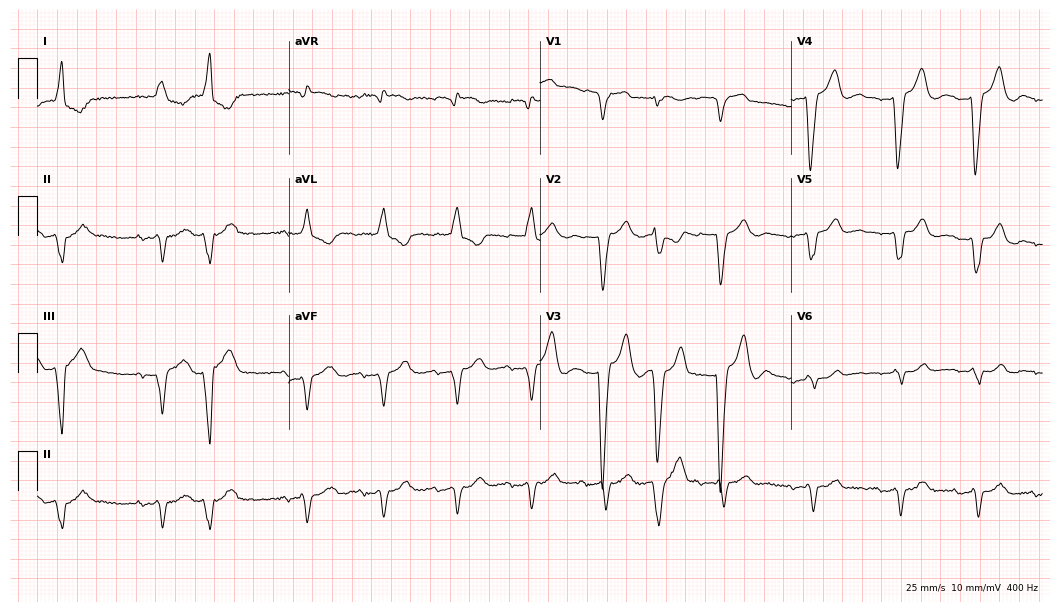
Standard 12-lead ECG recorded from an 82-year-old female. The tracing shows left bundle branch block.